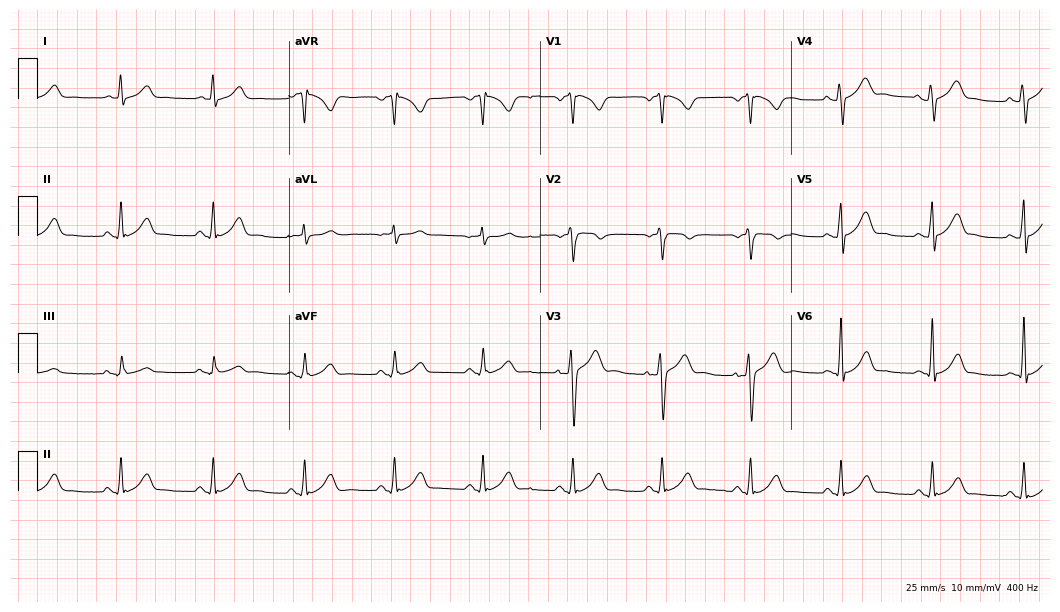
12-lead ECG (10.2-second recording at 400 Hz) from a 36-year-old male. Labelled as a normal ECG.